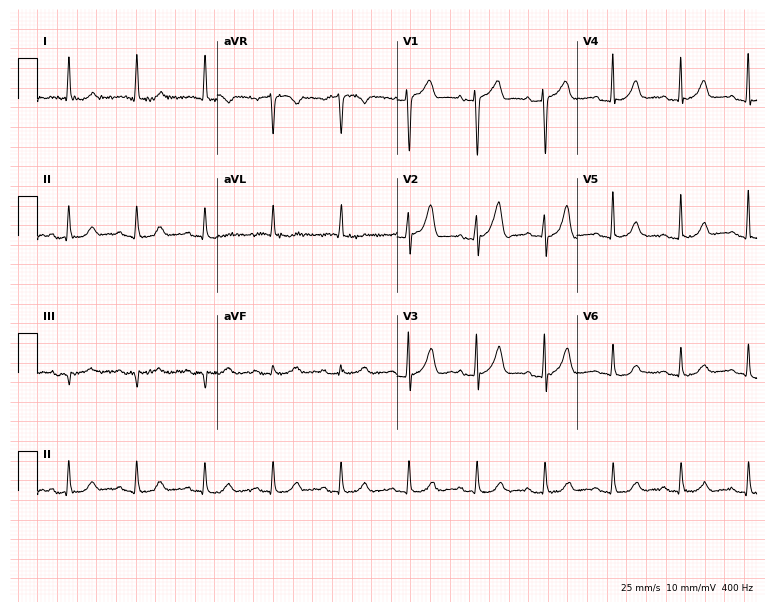
Electrocardiogram (7.3-second recording at 400 Hz), a 72-year-old female patient. Overall reading on record: normal ECG.